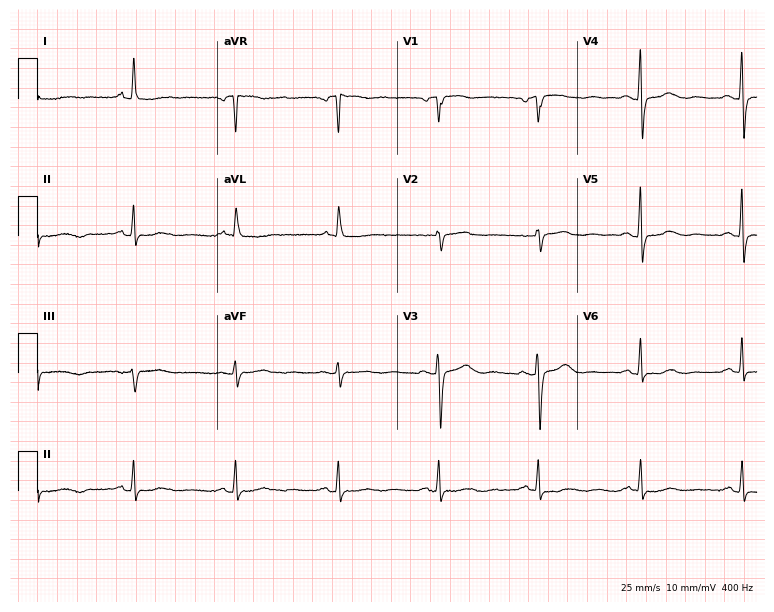
Electrocardiogram, a woman, 75 years old. Of the six screened findings (first-degree AV block, right bundle branch block (RBBB), left bundle branch block (LBBB), sinus bradycardia, atrial fibrillation (AF), sinus tachycardia), none is recorded. Only these six findings were labelled.